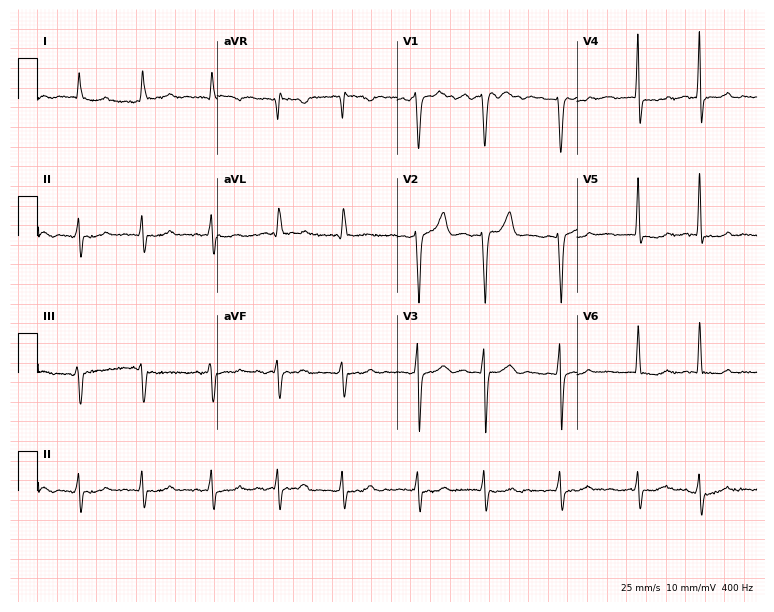
Electrocardiogram, an 81-year-old male patient. Interpretation includes atrial fibrillation (AF).